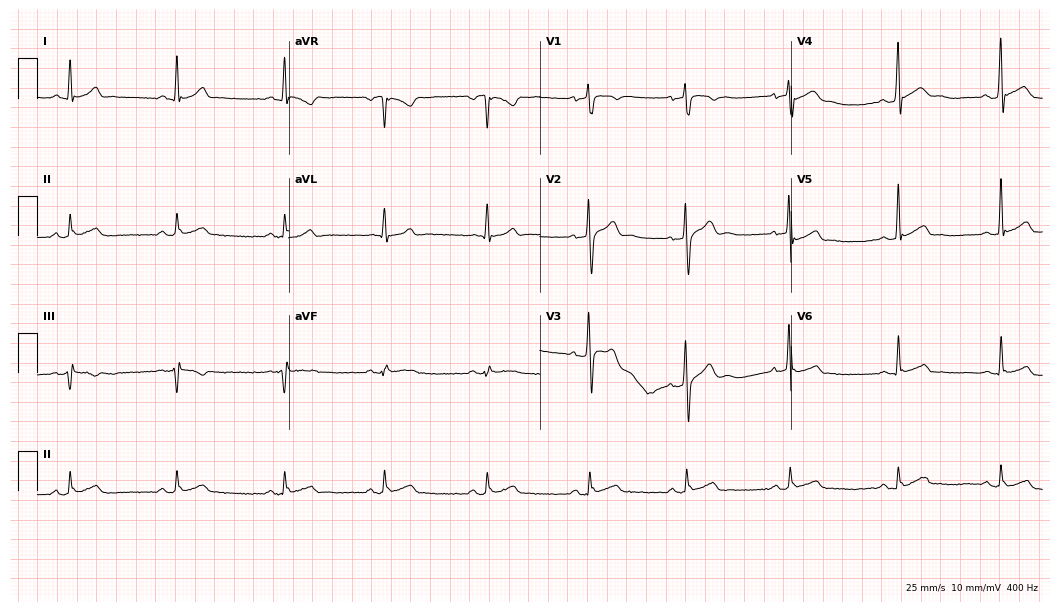
ECG — a male, 32 years old. Screened for six findings — first-degree AV block, right bundle branch block, left bundle branch block, sinus bradycardia, atrial fibrillation, sinus tachycardia — none is recorded. Other findings, if any, are not listed.